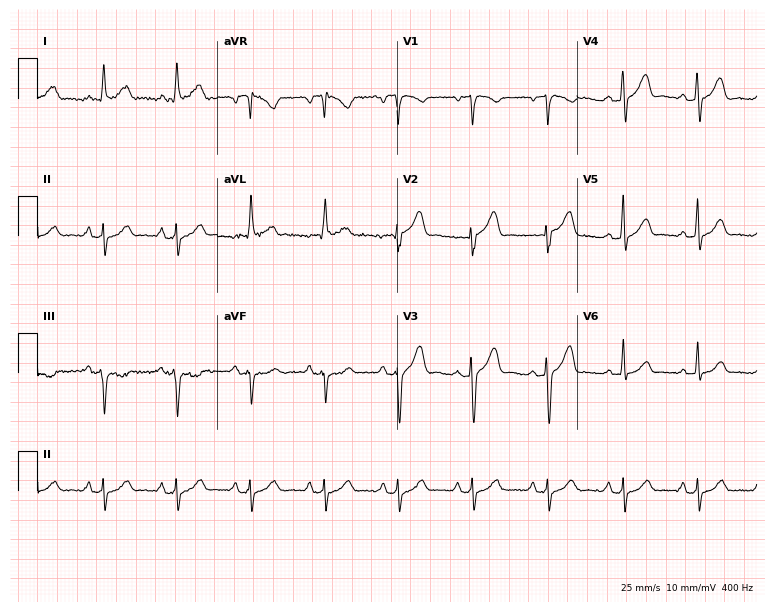
ECG — a 71-year-old man. Screened for six findings — first-degree AV block, right bundle branch block (RBBB), left bundle branch block (LBBB), sinus bradycardia, atrial fibrillation (AF), sinus tachycardia — none is recorded.